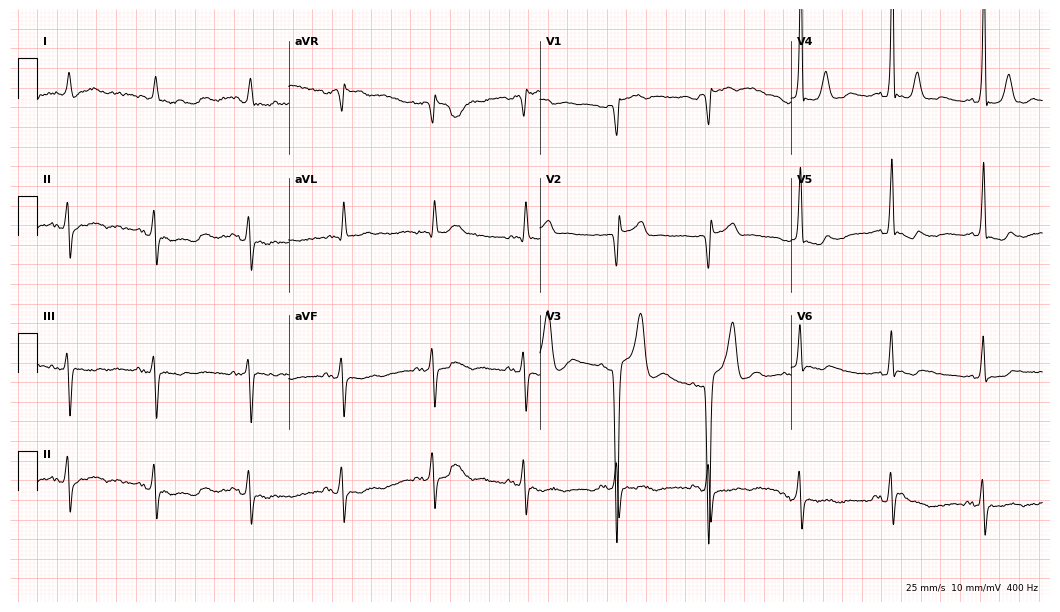
ECG — a male patient, 81 years old. Screened for six findings — first-degree AV block, right bundle branch block, left bundle branch block, sinus bradycardia, atrial fibrillation, sinus tachycardia — none is recorded.